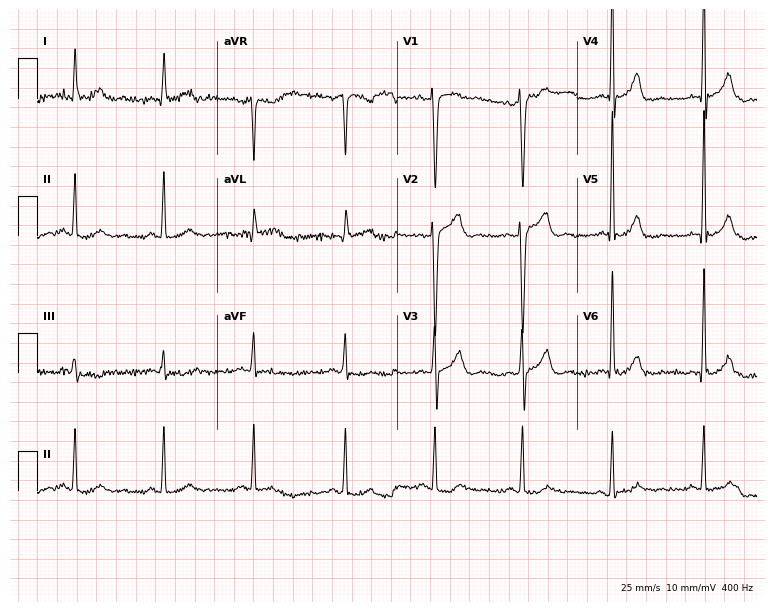
Standard 12-lead ECG recorded from a 56-year-old male patient. None of these six findings is recorded: first-degree AV block, right bundle branch block, left bundle branch block, sinus bradycardia, atrial fibrillation, sinus tachycardia. Findings outside these six are not listed.